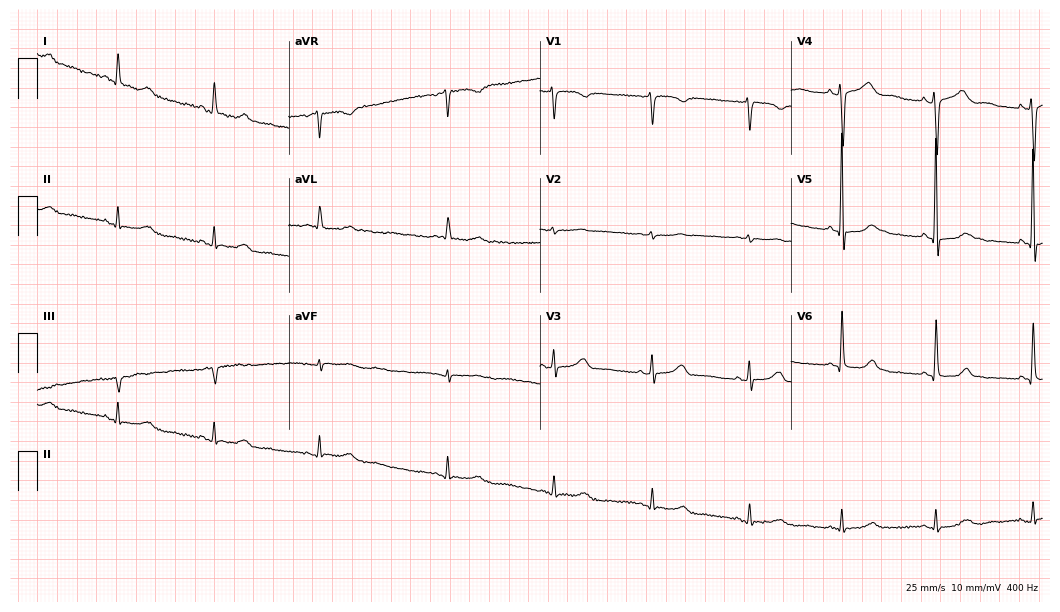
Standard 12-lead ECG recorded from a female, 54 years old (10.2-second recording at 400 Hz). Read as a normal ECG.